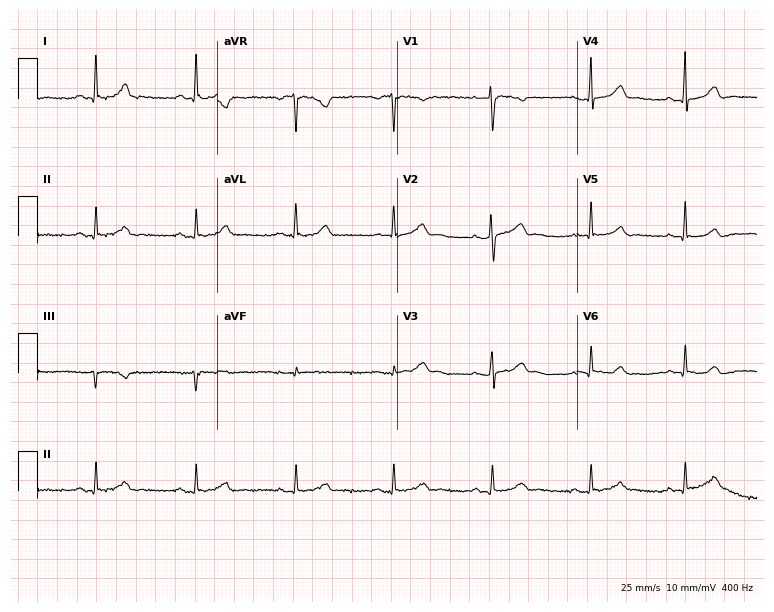
12-lead ECG from a female, 37 years old (7.3-second recording at 400 Hz). Recorded interpretation: within normal limits.